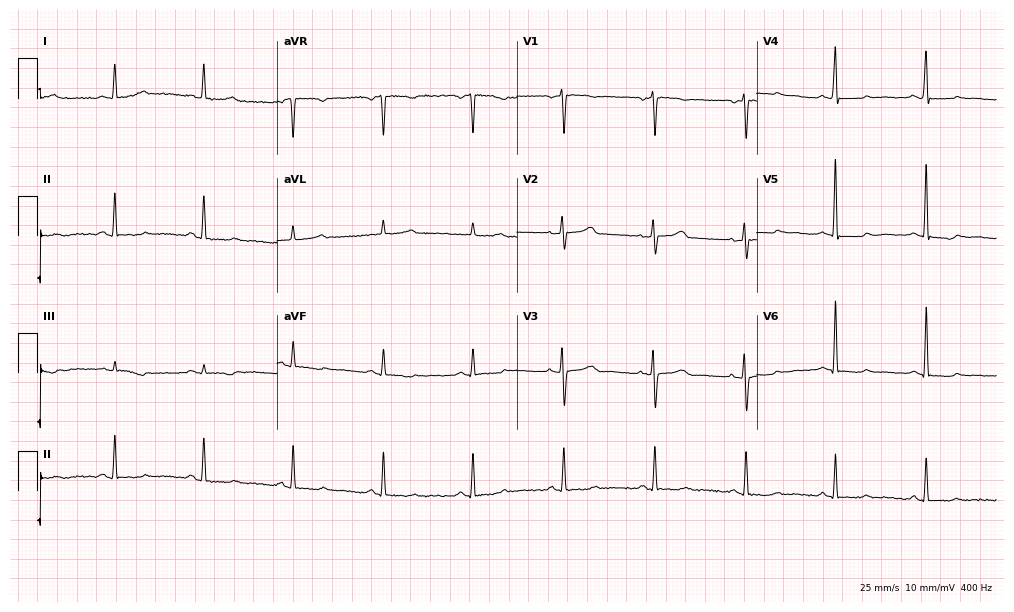
12-lead ECG from a 54-year-old female patient. Recorded interpretation: within normal limits.